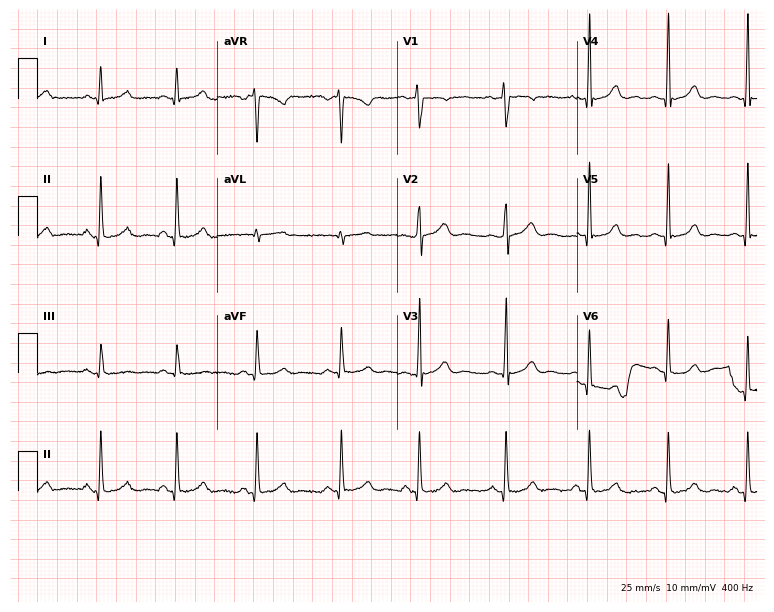
ECG (7.3-second recording at 400 Hz) — a female, 39 years old. Labelled as a normal ECG.